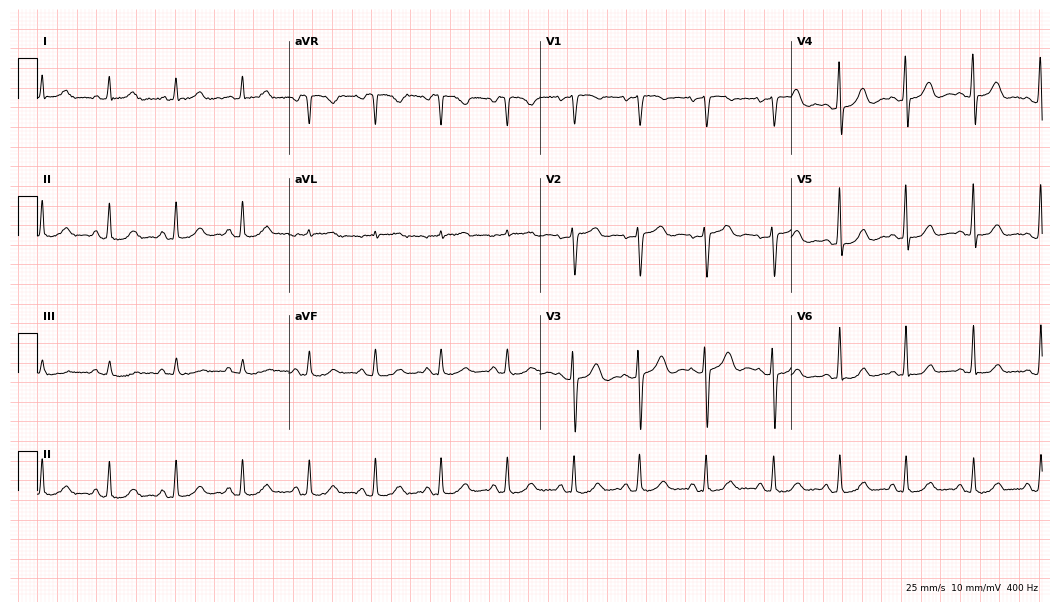
Electrocardiogram (10.2-second recording at 400 Hz), a 69-year-old woman. Overall reading on record: normal ECG.